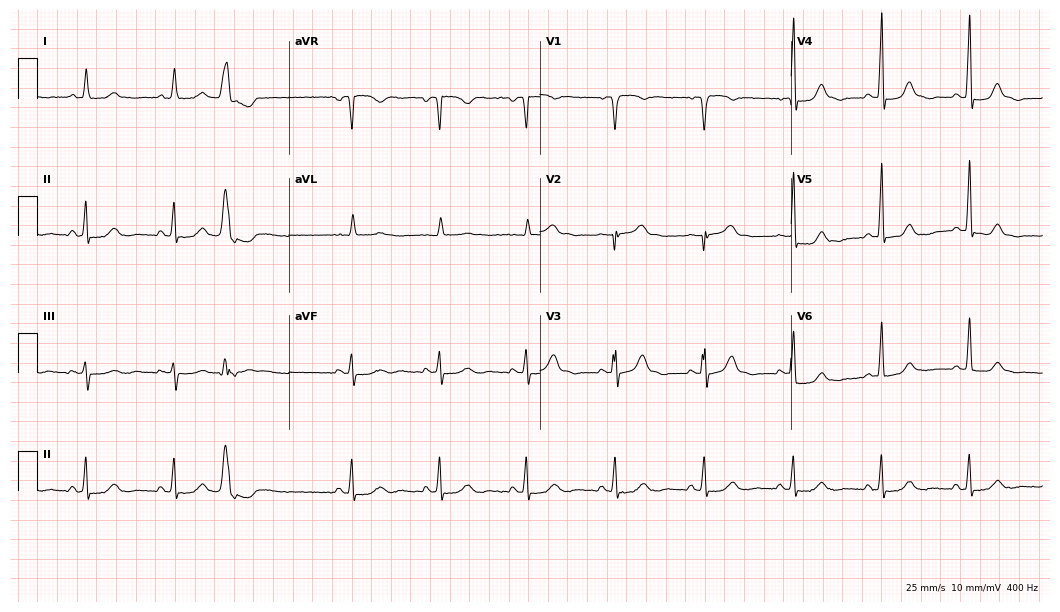
ECG — a female, 79 years old. Labelled as a normal ECG.